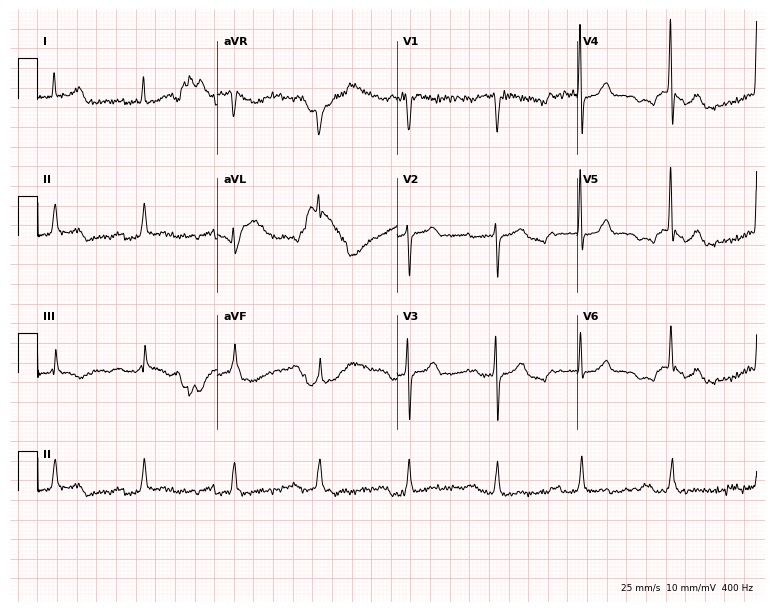
Resting 12-lead electrocardiogram (7.3-second recording at 400 Hz). Patient: a male, 79 years old. The tracing shows first-degree AV block.